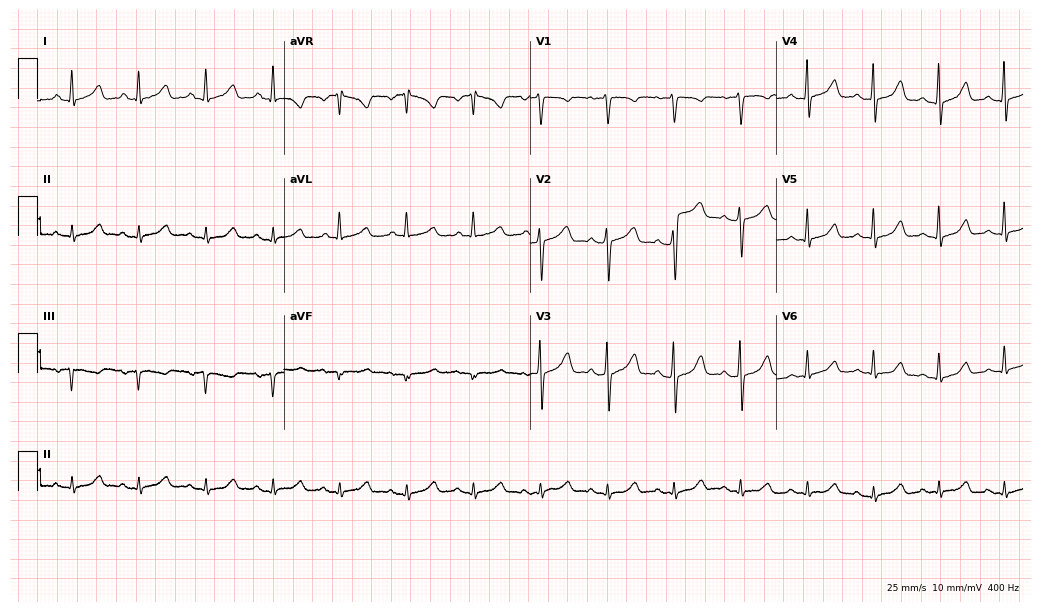
Electrocardiogram (10-second recording at 400 Hz), a woman, 52 years old. Of the six screened findings (first-degree AV block, right bundle branch block (RBBB), left bundle branch block (LBBB), sinus bradycardia, atrial fibrillation (AF), sinus tachycardia), none is recorded.